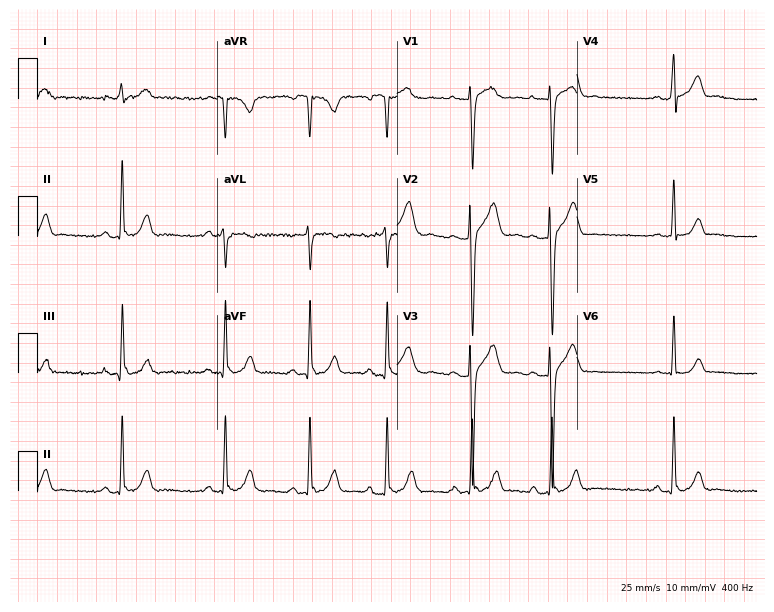
ECG (7.3-second recording at 400 Hz) — a 20-year-old male patient. Screened for six findings — first-degree AV block, right bundle branch block, left bundle branch block, sinus bradycardia, atrial fibrillation, sinus tachycardia — none is recorded.